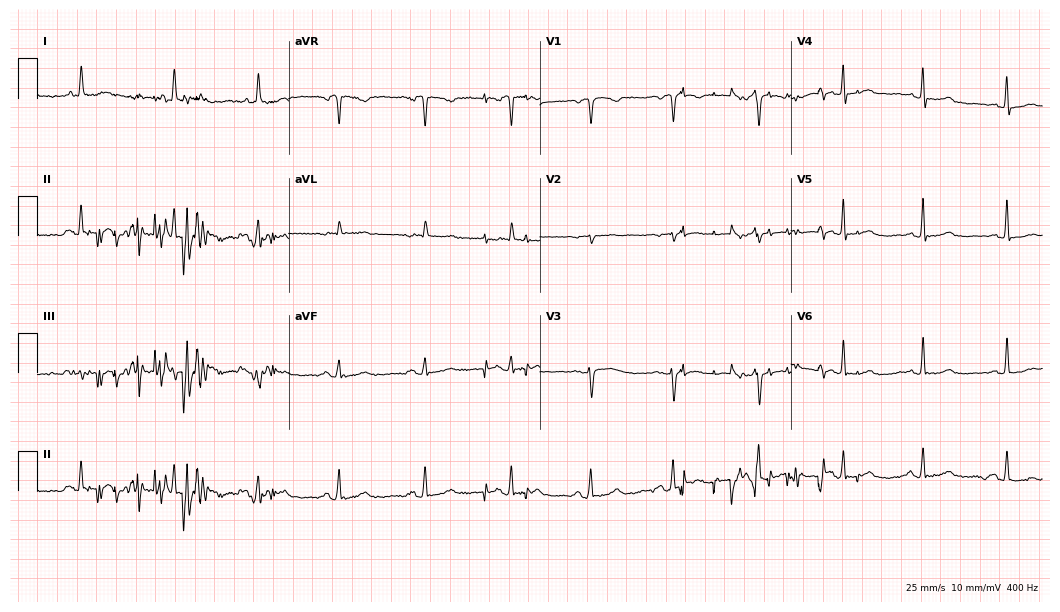
Standard 12-lead ECG recorded from a female, 82 years old. None of these six findings is recorded: first-degree AV block, right bundle branch block, left bundle branch block, sinus bradycardia, atrial fibrillation, sinus tachycardia.